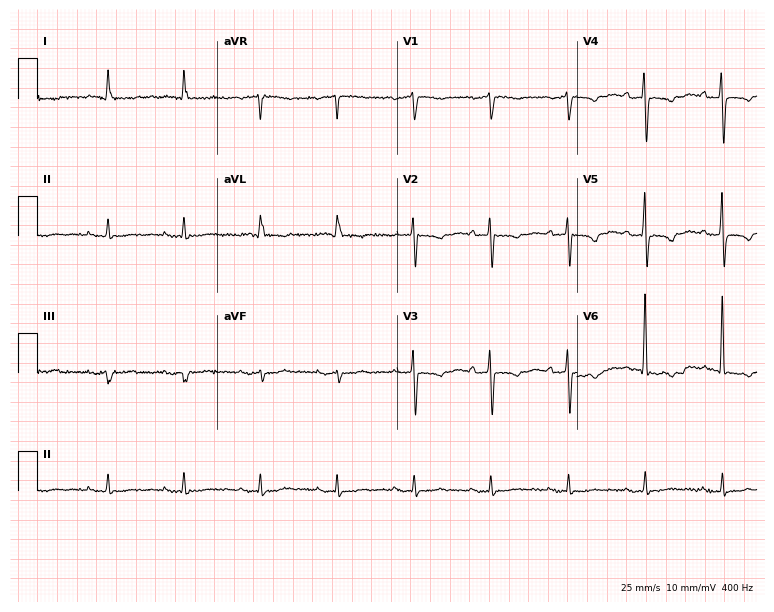
12-lead ECG from a female, 77 years old. Screened for six findings — first-degree AV block, right bundle branch block (RBBB), left bundle branch block (LBBB), sinus bradycardia, atrial fibrillation (AF), sinus tachycardia — none is recorded. Findings outside these six are not listed.